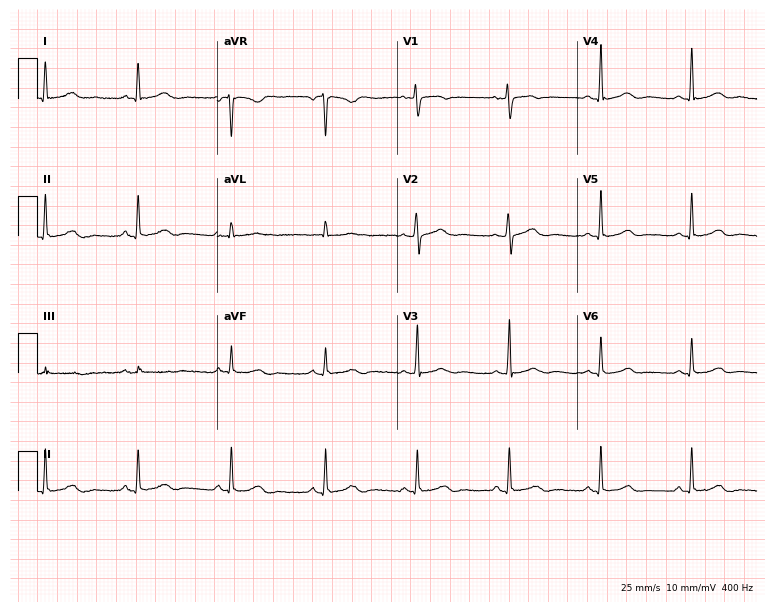
Standard 12-lead ECG recorded from a woman, 59 years old (7.3-second recording at 400 Hz). None of these six findings is recorded: first-degree AV block, right bundle branch block, left bundle branch block, sinus bradycardia, atrial fibrillation, sinus tachycardia. Only these six findings were labelled.